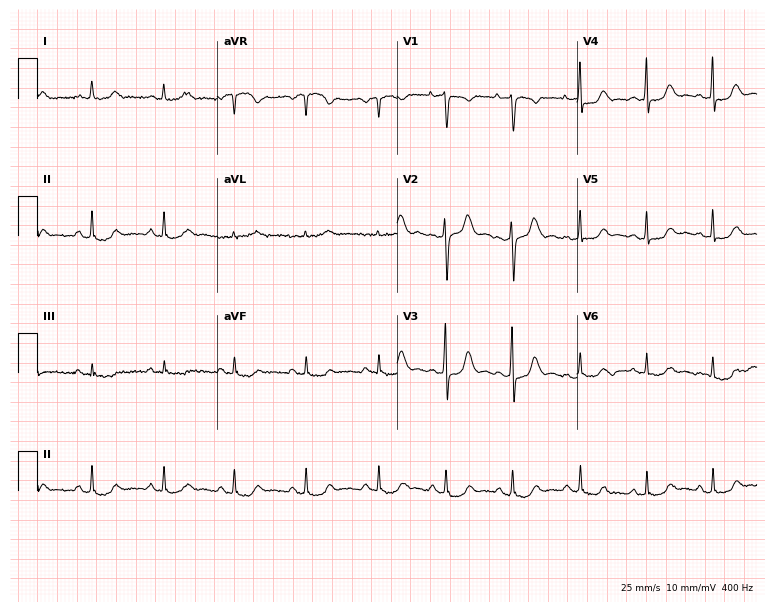
ECG — a female patient, 48 years old. Screened for six findings — first-degree AV block, right bundle branch block, left bundle branch block, sinus bradycardia, atrial fibrillation, sinus tachycardia — none is recorded. Other findings, if any, are not listed.